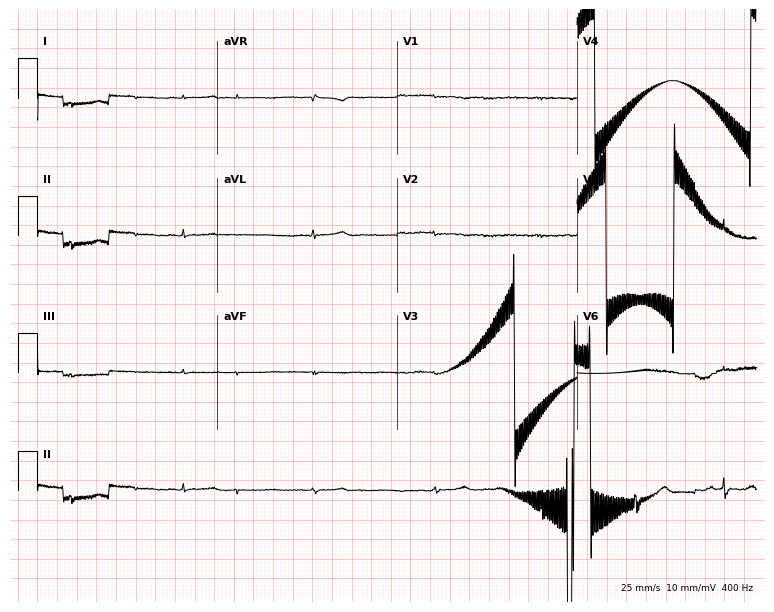
Resting 12-lead electrocardiogram (7.3-second recording at 400 Hz). Patient: a 23-year-old male. None of these six findings is recorded: first-degree AV block, right bundle branch block, left bundle branch block, sinus bradycardia, atrial fibrillation, sinus tachycardia.